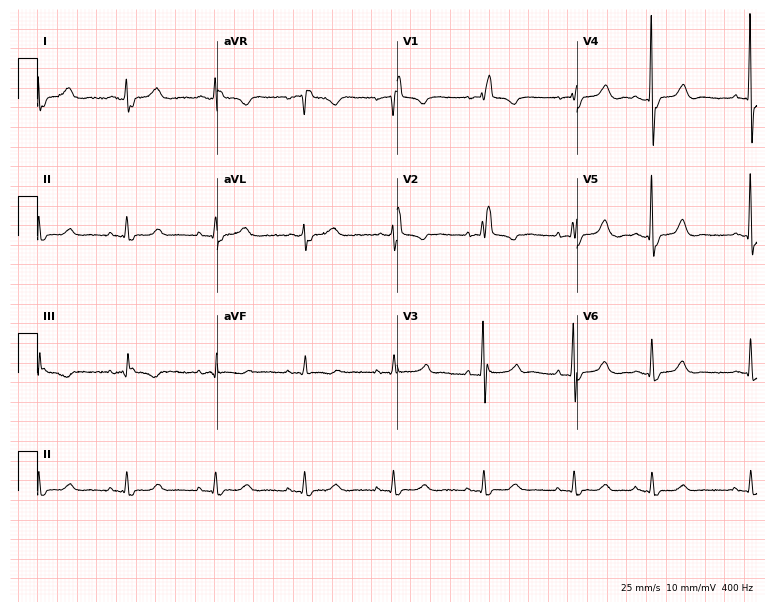
Electrocardiogram, a female patient, 79 years old. Interpretation includes right bundle branch block.